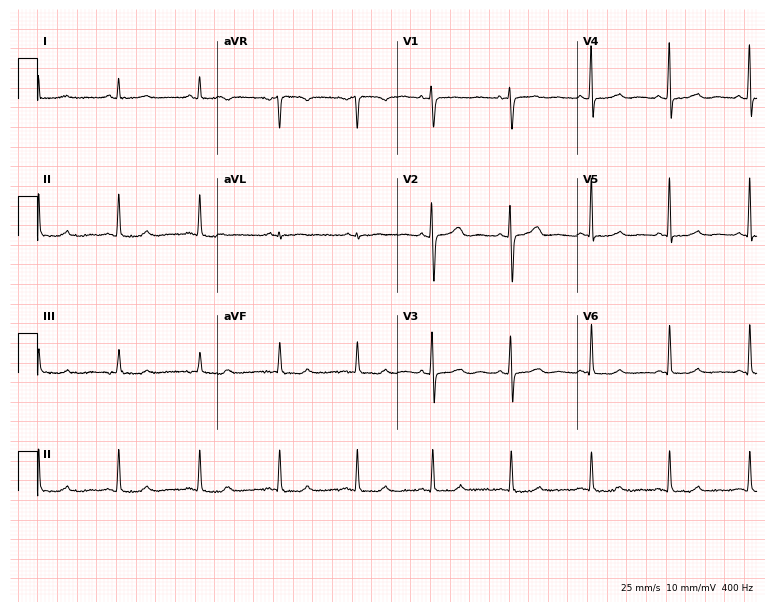
12-lead ECG from a female patient, 45 years old. No first-degree AV block, right bundle branch block, left bundle branch block, sinus bradycardia, atrial fibrillation or sinus tachycardia recorded for this tracing.